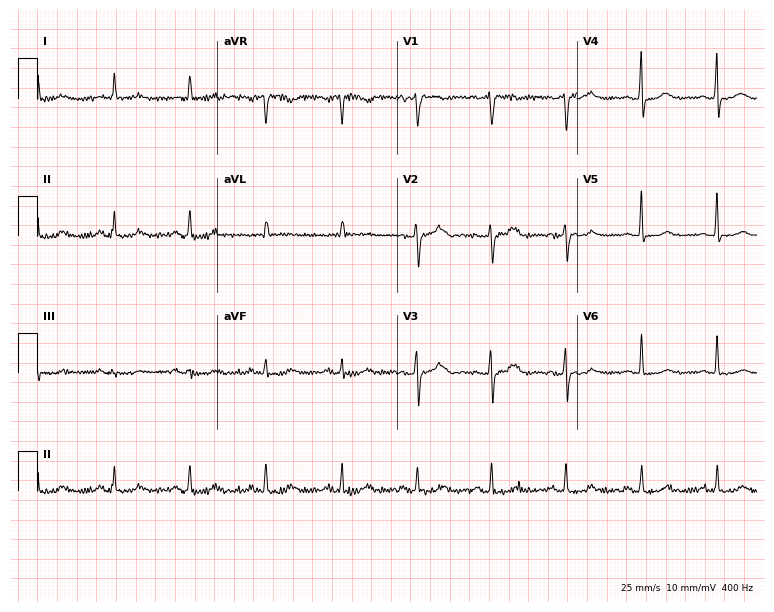
Resting 12-lead electrocardiogram. Patient: a 48-year-old man. Read as a normal ECG.